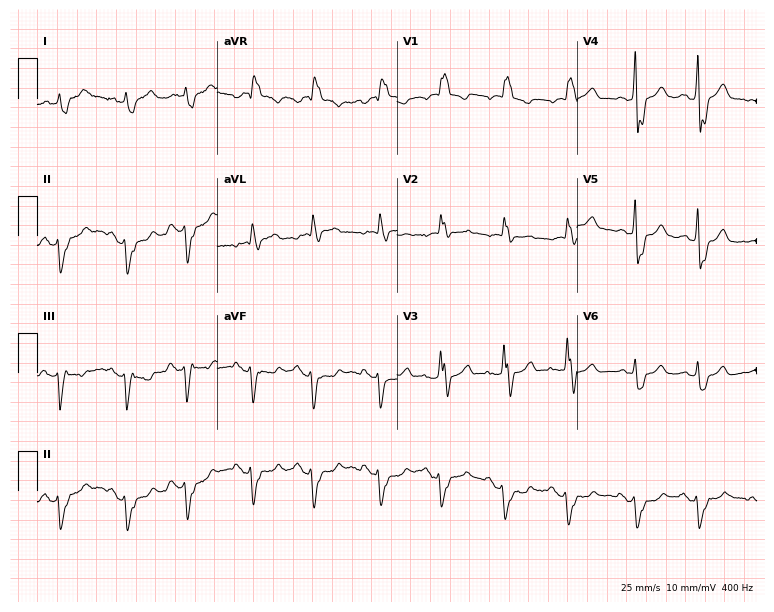
Electrocardiogram, a male, 79 years old. Interpretation includes right bundle branch block.